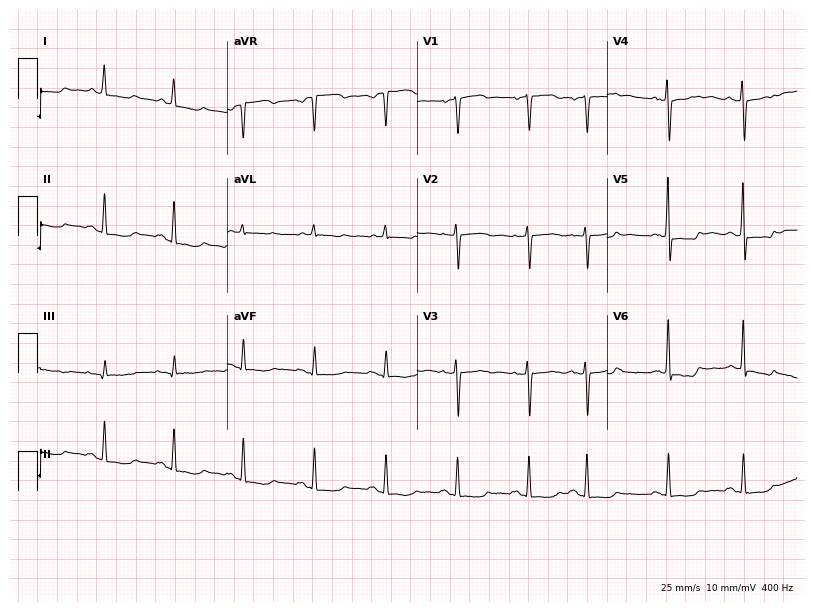
Standard 12-lead ECG recorded from a female, 75 years old (7.7-second recording at 400 Hz). None of these six findings is recorded: first-degree AV block, right bundle branch block, left bundle branch block, sinus bradycardia, atrial fibrillation, sinus tachycardia.